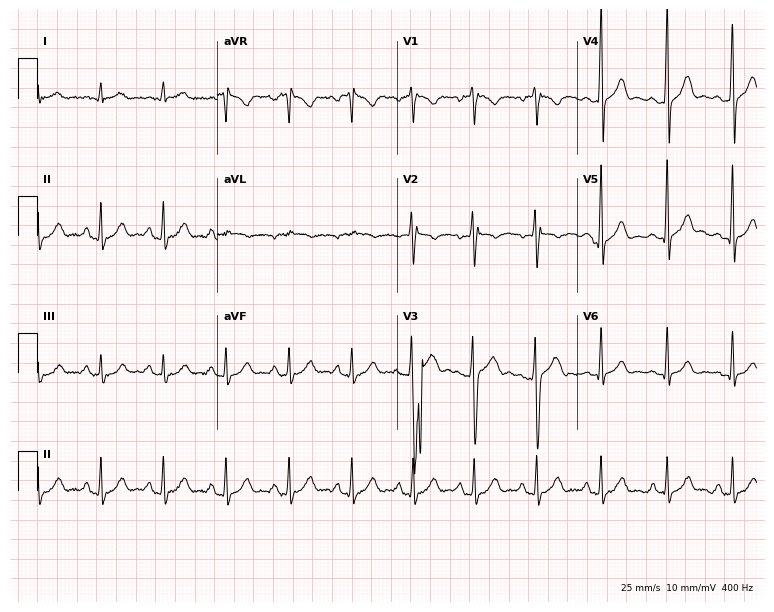
12-lead ECG (7.3-second recording at 400 Hz) from a 25-year-old male. Screened for six findings — first-degree AV block, right bundle branch block, left bundle branch block, sinus bradycardia, atrial fibrillation, sinus tachycardia — none is recorded. Findings outside these six are not listed.